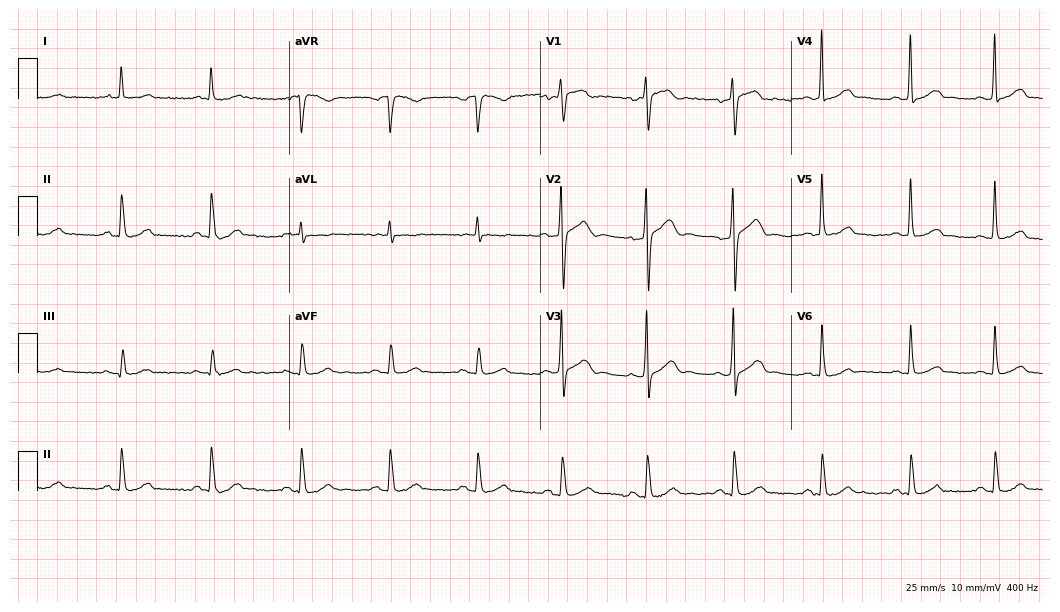
12-lead ECG from a male, 52 years old. Recorded interpretation: within normal limits.